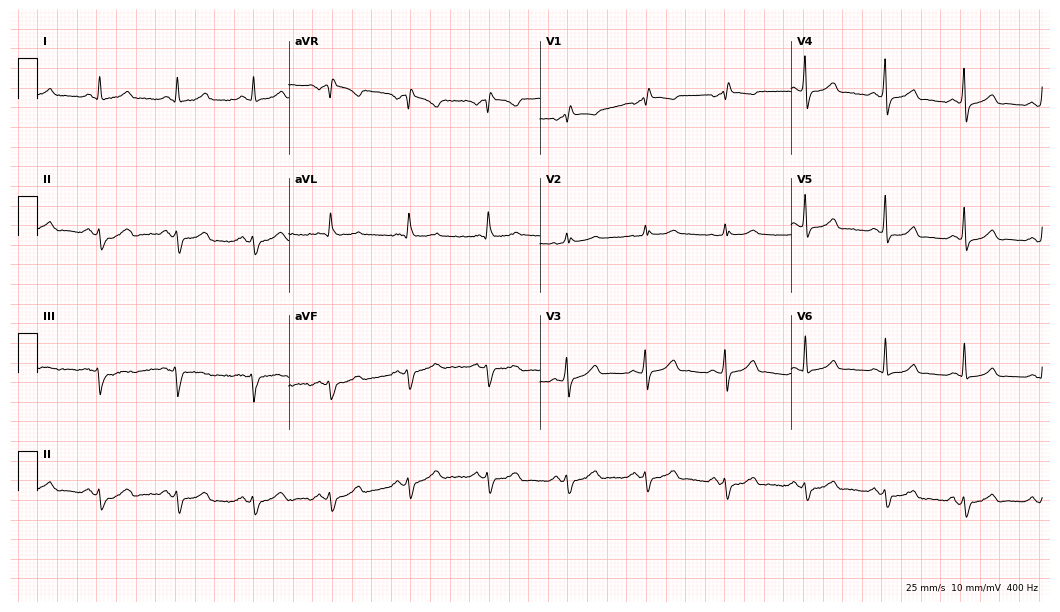
12-lead ECG from a 63-year-old male (10.2-second recording at 400 Hz). Shows right bundle branch block.